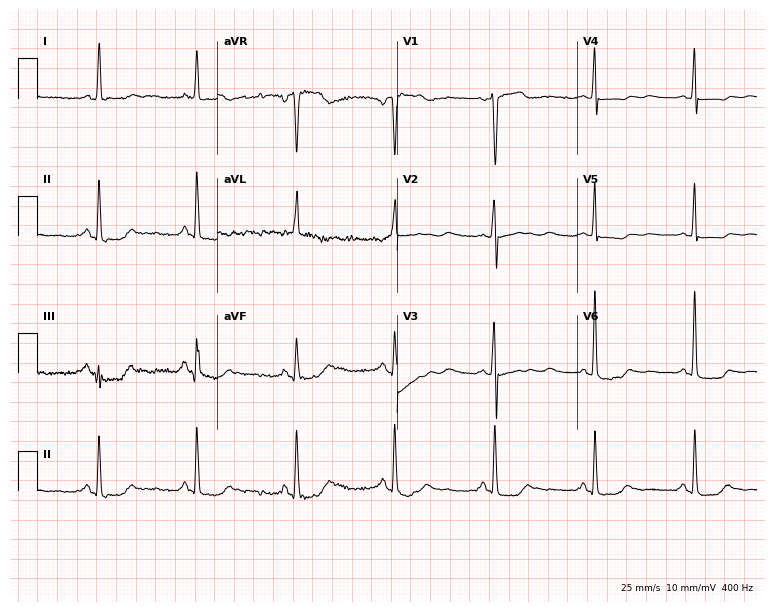
12-lead ECG (7.3-second recording at 400 Hz) from a 74-year-old woman. Screened for six findings — first-degree AV block, right bundle branch block (RBBB), left bundle branch block (LBBB), sinus bradycardia, atrial fibrillation (AF), sinus tachycardia — none is recorded.